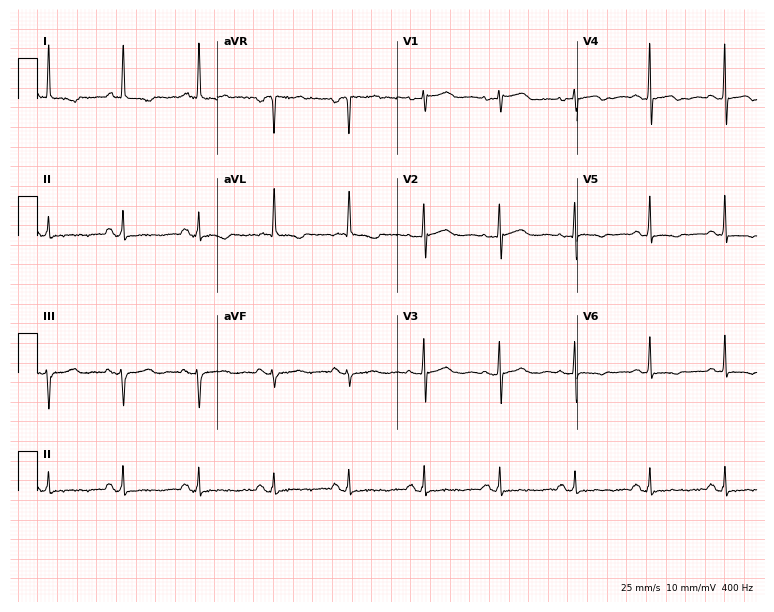
Standard 12-lead ECG recorded from a woman, 75 years old. None of these six findings is recorded: first-degree AV block, right bundle branch block (RBBB), left bundle branch block (LBBB), sinus bradycardia, atrial fibrillation (AF), sinus tachycardia.